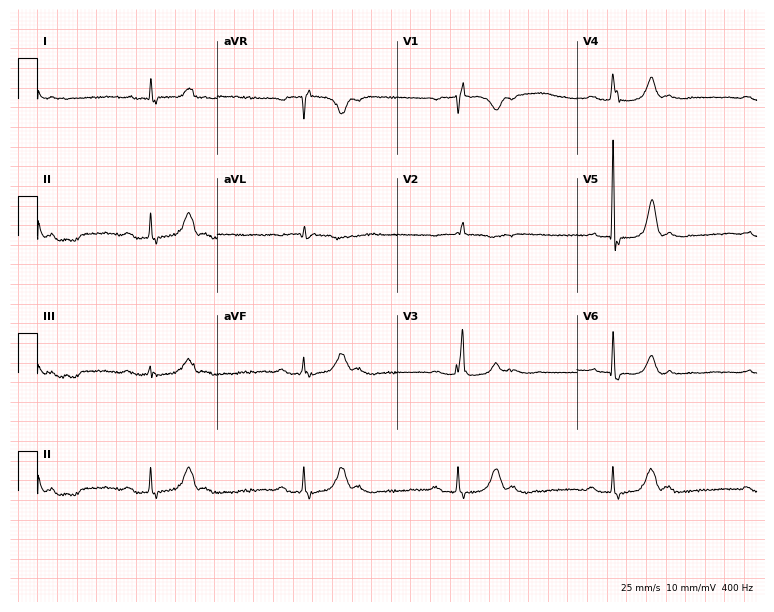
Electrocardiogram (7.3-second recording at 400 Hz), a 78-year-old female. Interpretation includes first-degree AV block.